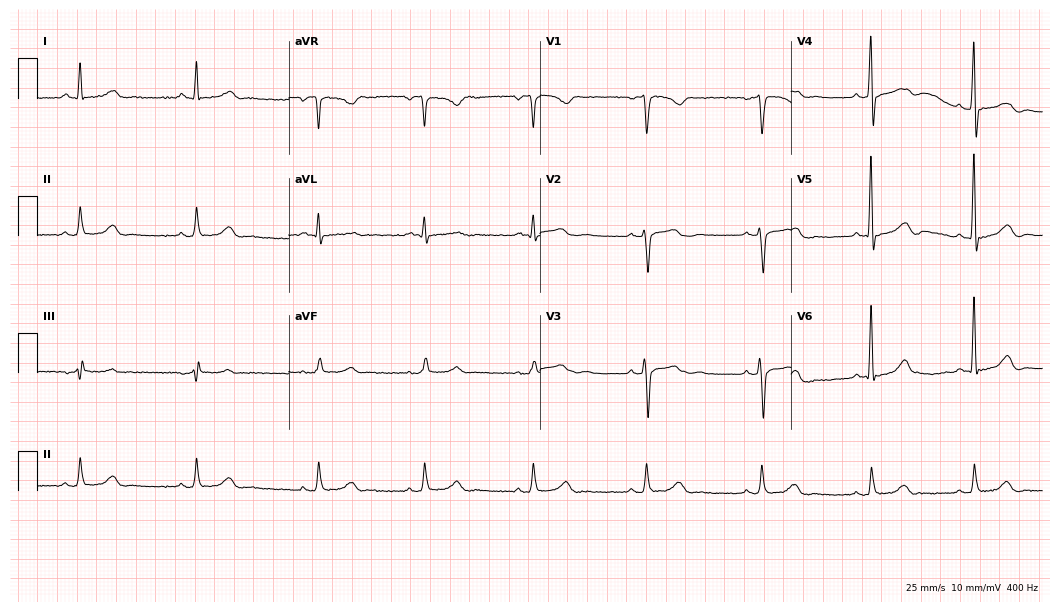
Electrocardiogram (10.2-second recording at 400 Hz), a 47-year-old male patient. Of the six screened findings (first-degree AV block, right bundle branch block, left bundle branch block, sinus bradycardia, atrial fibrillation, sinus tachycardia), none is recorded. Other findings, if any, are not listed.